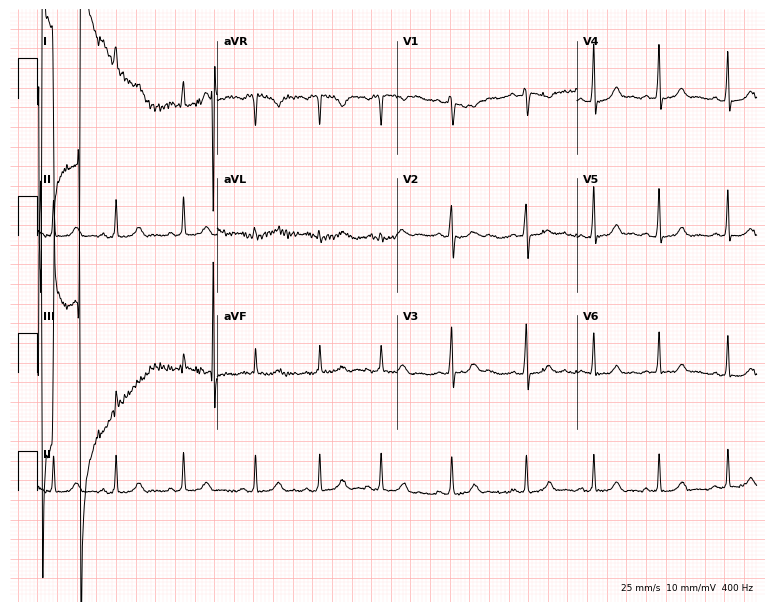
ECG — a woman, 17 years old. Labelled as a normal ECG.